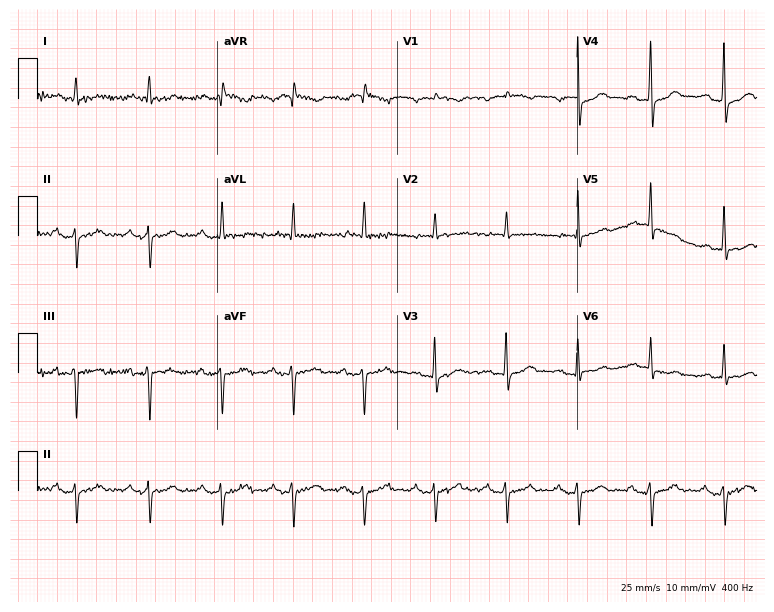
Resting 12-lead electrocardiogram (7.3-second recording at 400 Hz). Patient: an 83-year-old male. The tracing shows first-degree AV block.